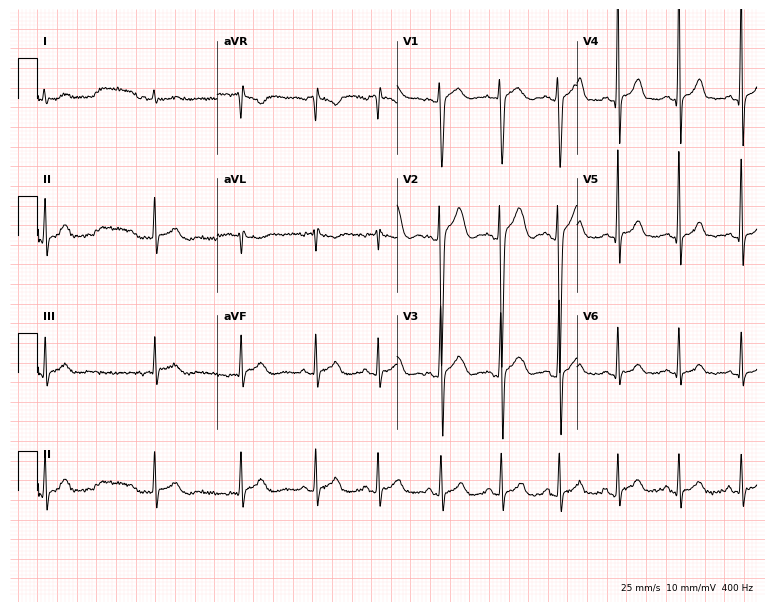
12-lead ECG from a 19-year-old man. Labelled as a normal ECG.